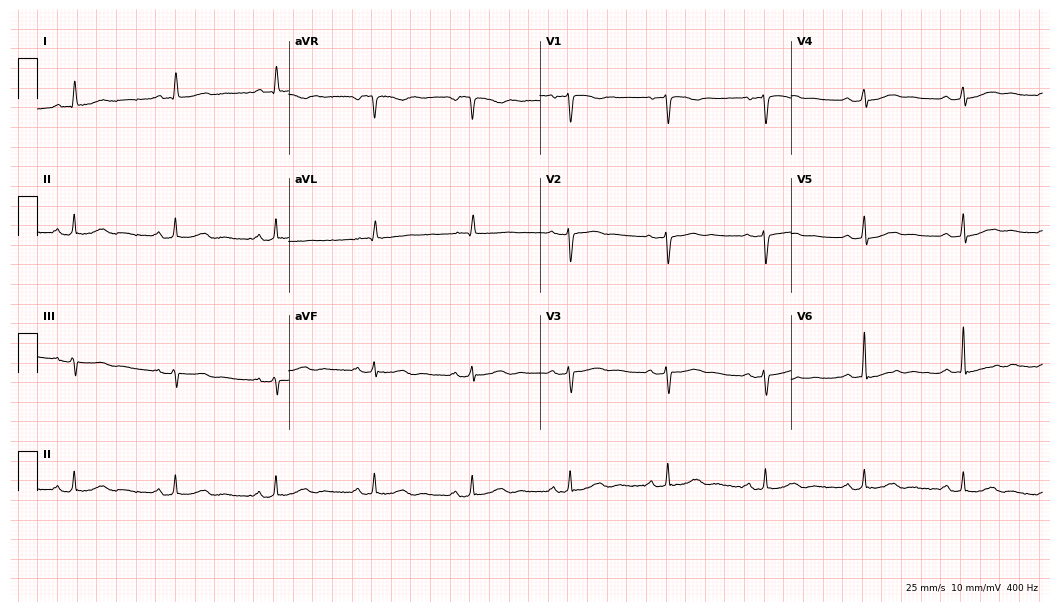
ECG (10.2-second recording at 400 Hz) — a 62-year-old woman. Screened for six findings — first-degree AV block, right bundle branch block (RBBB), left bundle branch block (LBBB), sinus bradycardia, atrial fibrillation (AF), sinus tachycardia — none is recorded.